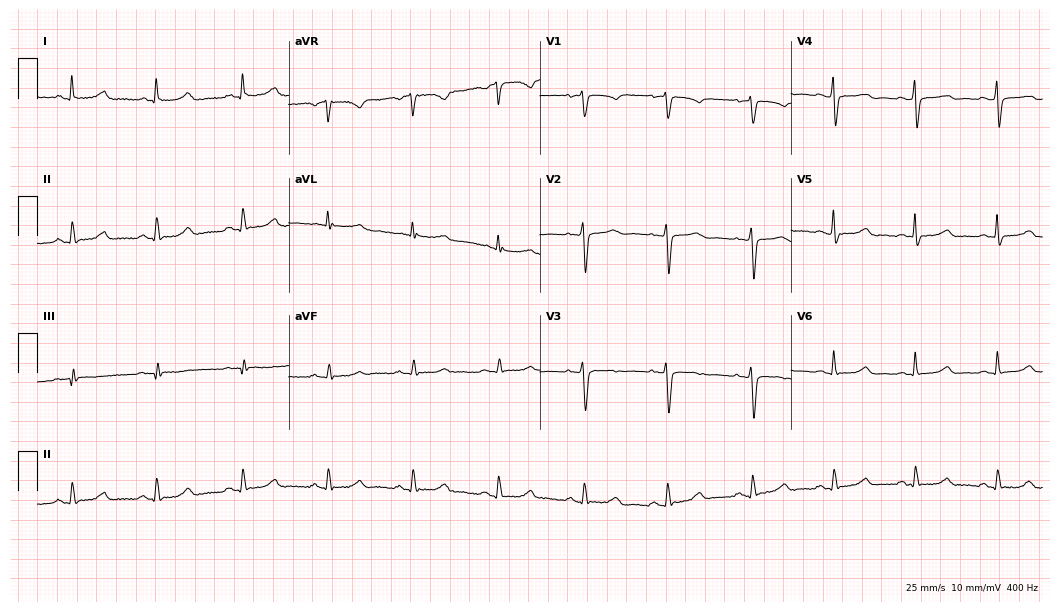
12-lead ECG from a female, 66 years old (10.2-second recording at 400 Hz). No first-degree AV block, right bundle branch block, left bundle branch block, sinus bradycardia, atrial fibrillation or sinus tachycardia recorded for this tracing.